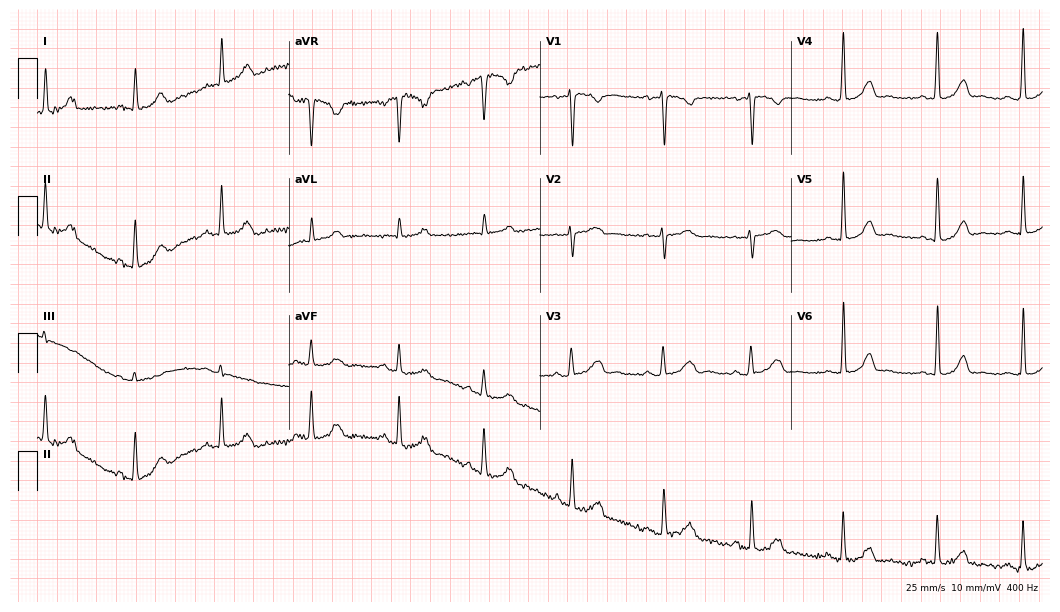
Resting 12-lead electrocardiogram (10.2-second recording at 400 Hz). Patient: a female, 41 years old. None of these six findings is recorded: first-degree AV block, right bundle branch block, left bundle branch block, sinus bradycardia, atrial fibrillation, sinus tachycardia. Findings outside these six are not listed.